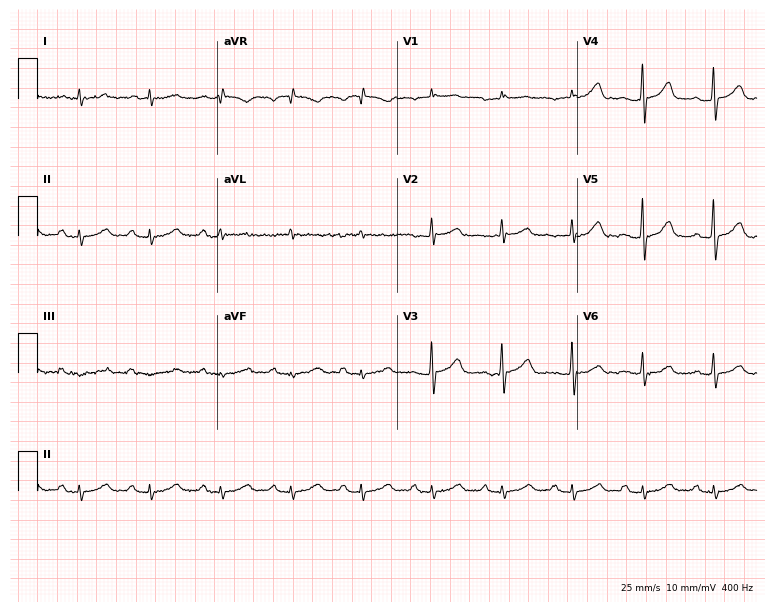
Electrocardiogram (7.3-second recording at 400 Hz), a 75-year-old male patient. Overall reading on record: normal ECG.